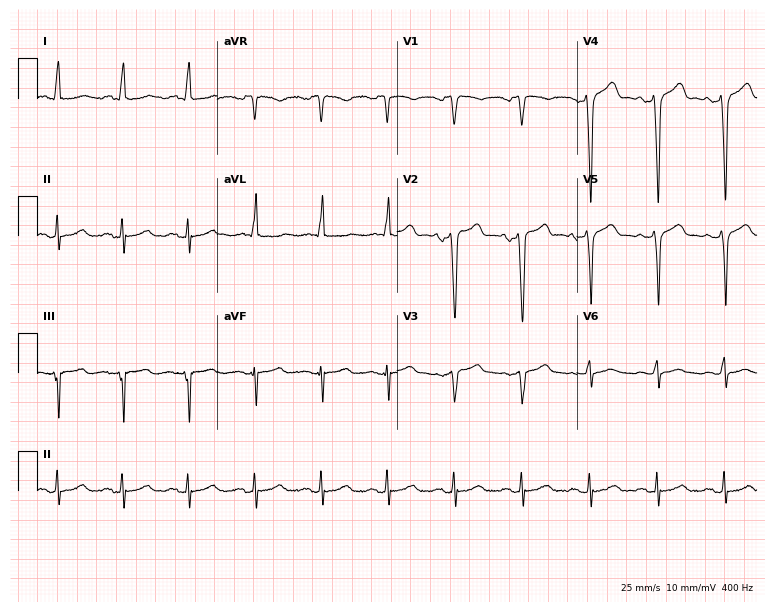
Resting 12-lead electrocardiogram (7.3-second recording at 400 Hz). Patient: a 57-year-old male. None of these six findings is recorded: first-degree AV block, right bundle branch block (RBBB), left bundle branch block (LBBB), sinus bradycardia, atrial fibrillation (AF), sinus tachycardia.